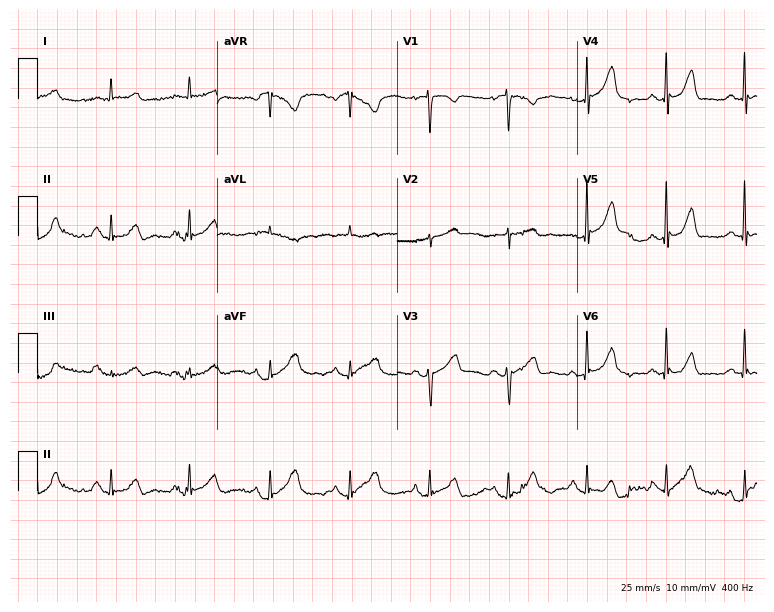
Standard 12-lead ECG recorded from a female patient, 69 years old. None of these six findings is recorded: first-degree AV block, right bundle branch block, left bundle branch block, sinus bradycardia, atrial fibrillation, sinus tachycardia.